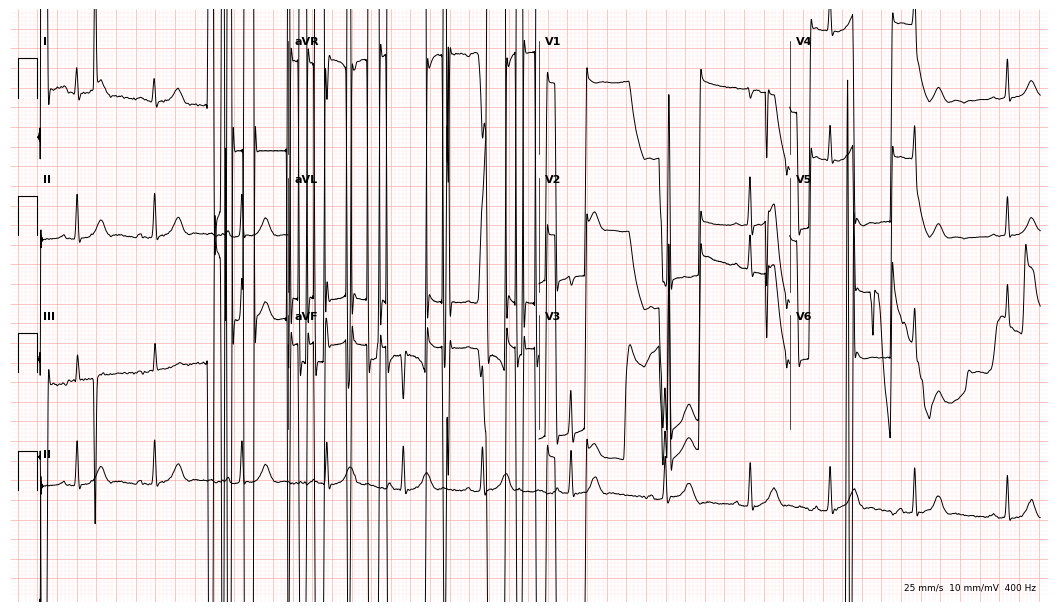
ECG (10.2-second recording at 400 Hz) — a woman, 17 years old. Screened for six findings — first-degree AV block, right bundle branch block, left bundle branch block, sinus bradycardia, atrial fibrillation, sinus tachycardia — none is recorded. Findings outside these six are not listed.